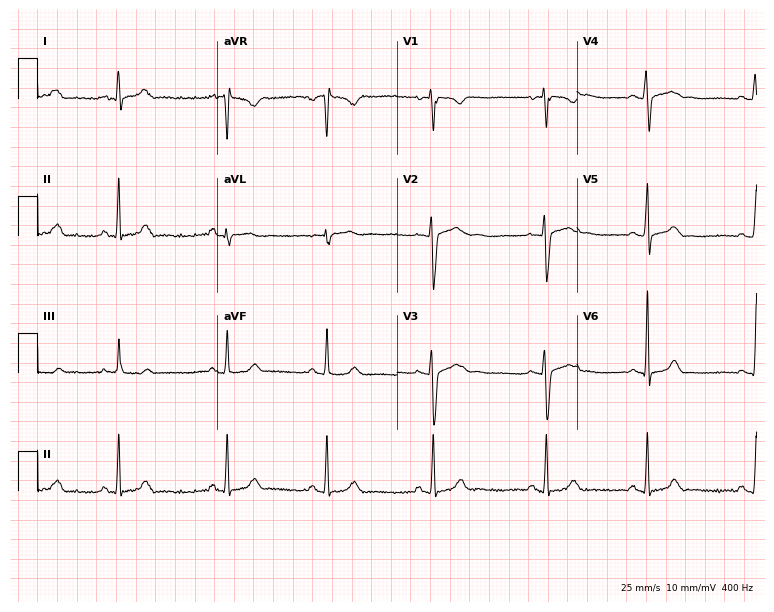
Standard 12-lead ECG recorded from a woman, 23 years old. Read as a normal ECG.